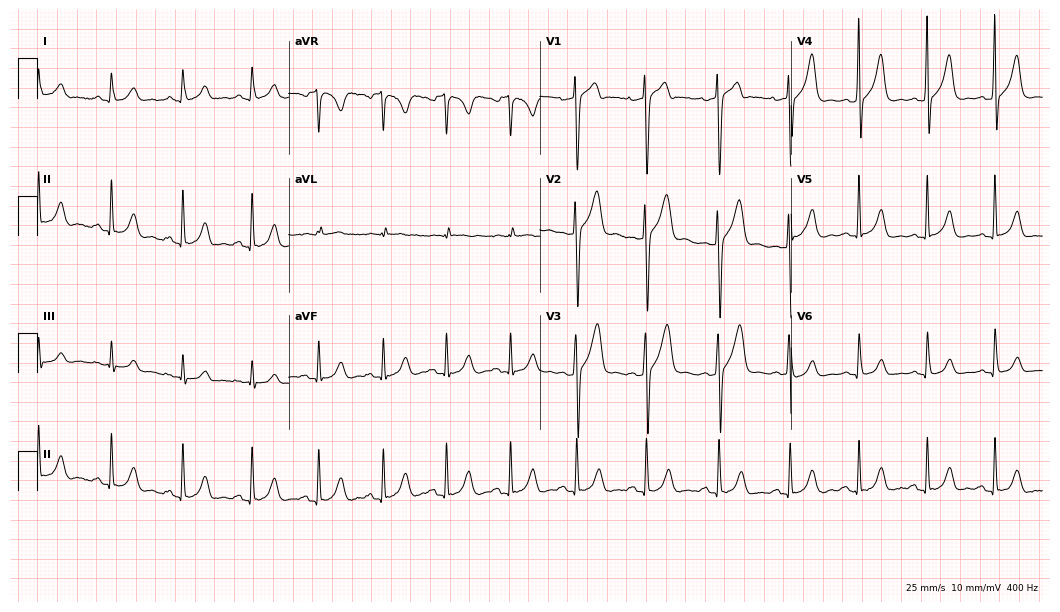
Standard 12-lead ECG recorded from a male patient, 19 years old (10.2-second recording at 400 Hz). Read as a normal ECG.